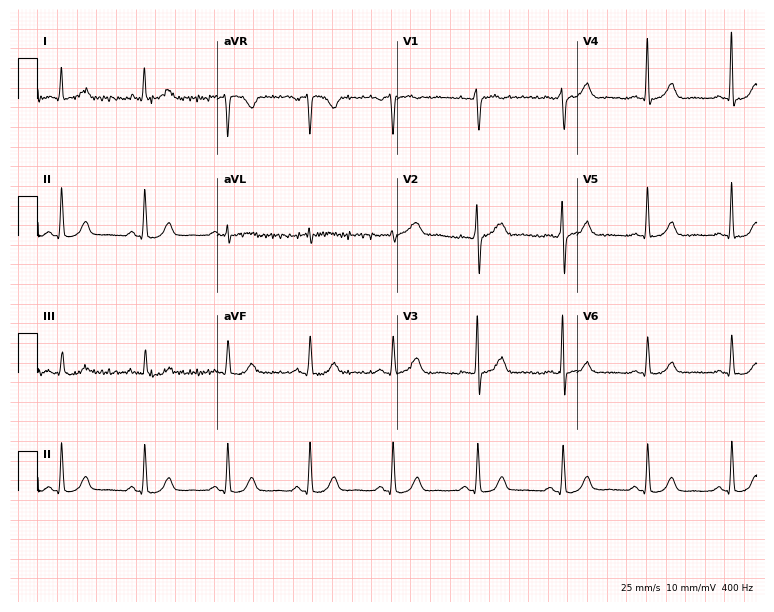
Standard 12-lead ECG recorded from a 54-year-old woman. Read as a normal ECG.